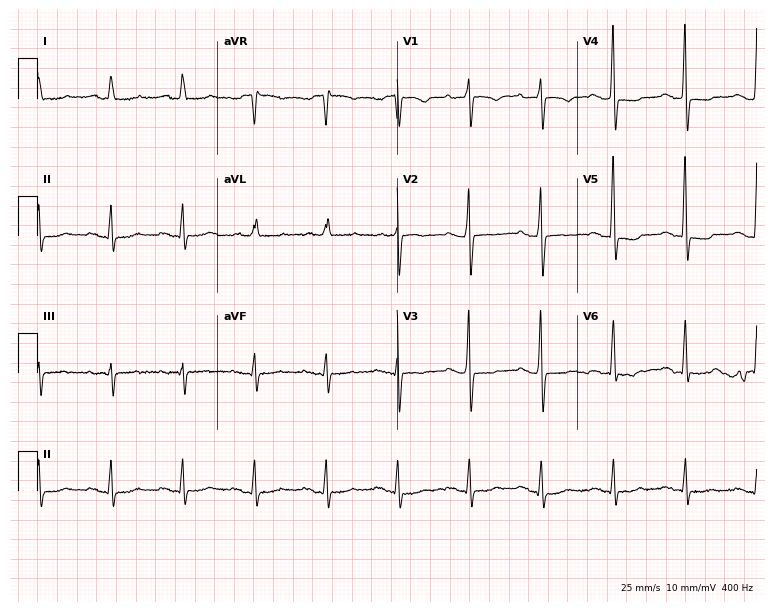
Resting 12-lead electrocardiogram. Patient: a 69-year-old female. None of these six findings is recorded: first-degree AV block, right bundle branch block, left bundle branch block, sinus bradycardia, atrial fibrillation, sinus tachycardia.